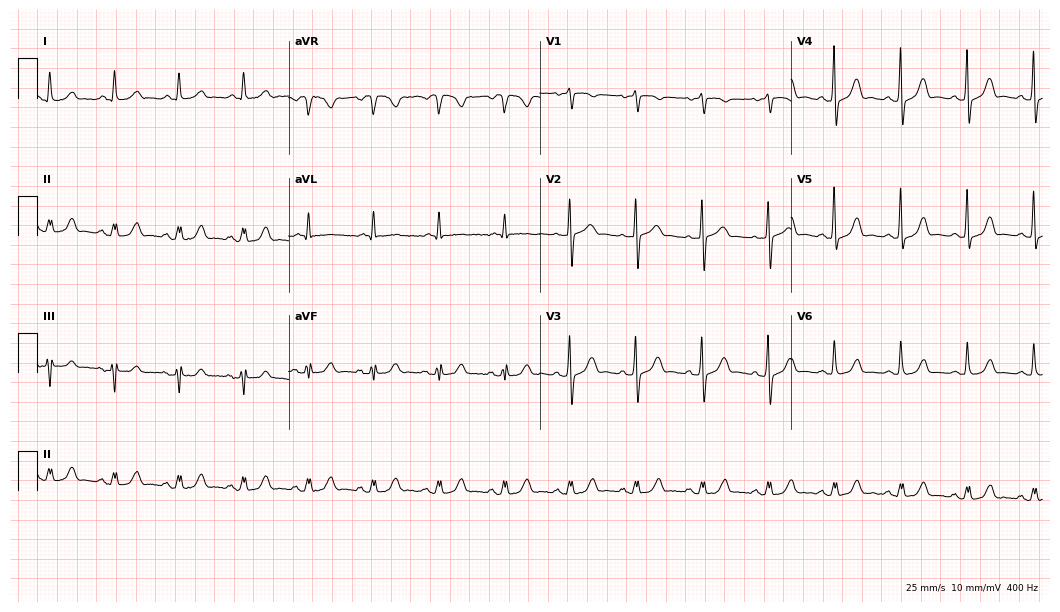
Standard 12-lead ECG recorded from a female patient, 75 years old. None of these six findings is recorded: first-degree AV block, right bundle branch block (RBBB), left bundle branch block (LBBB), sinus bradycardia, atrial fibrillation (AF), sinus tachycardia.